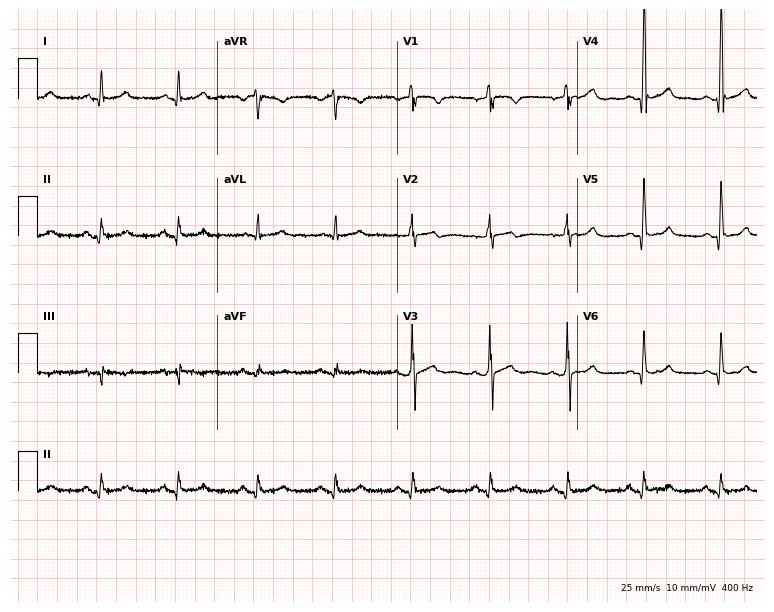
12-lead ECG from a 55-year-old male. Labelled as a normal ECG.